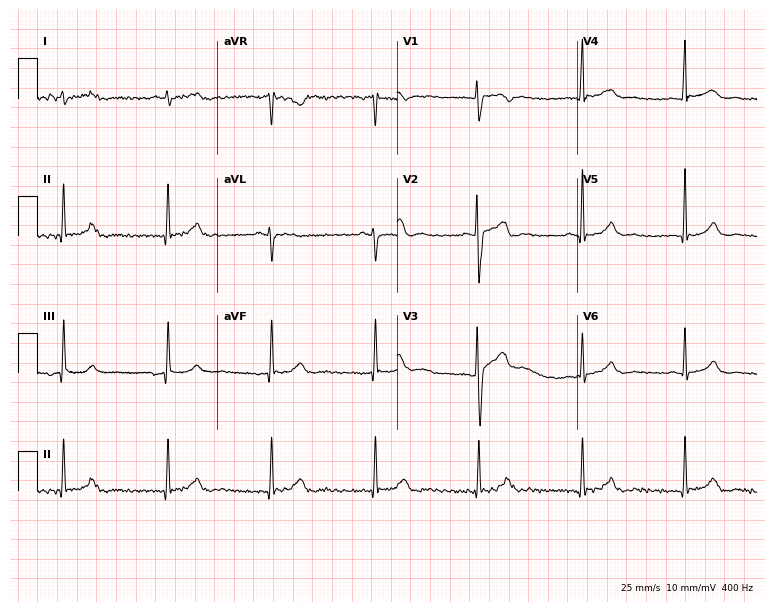
Standard 12-lead ECG recorded from a 34-year-old male patient. Read as a normal ECG.